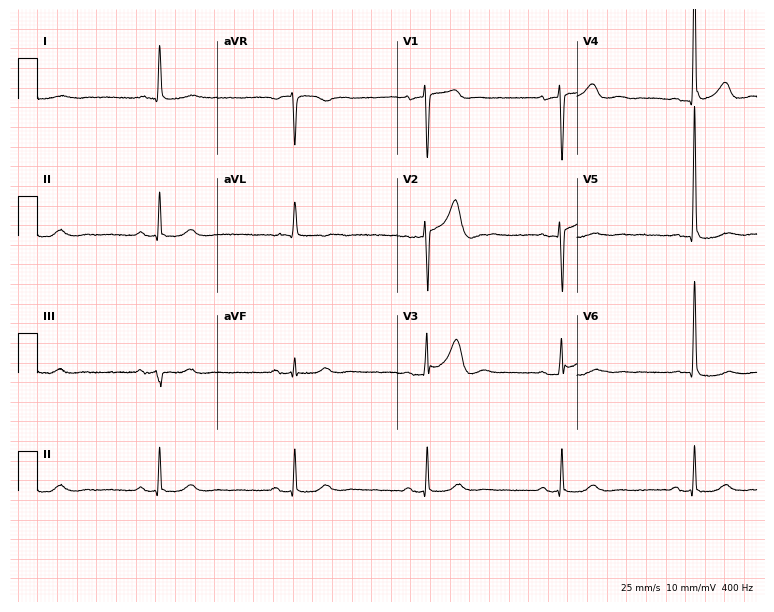
ECG — a male, 87 years old. Findings include sinus bradycardia (a sinus rate of 50 beats per minute or less).